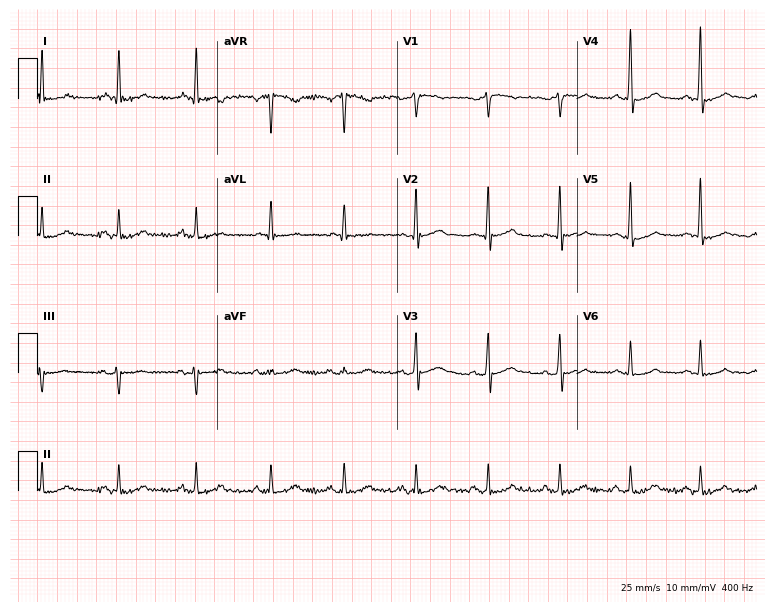
Standard 12-lead ECG recorded from a 54-year-old male patient (7.3-second recording at 400 Hz). Read as a normal ECG.